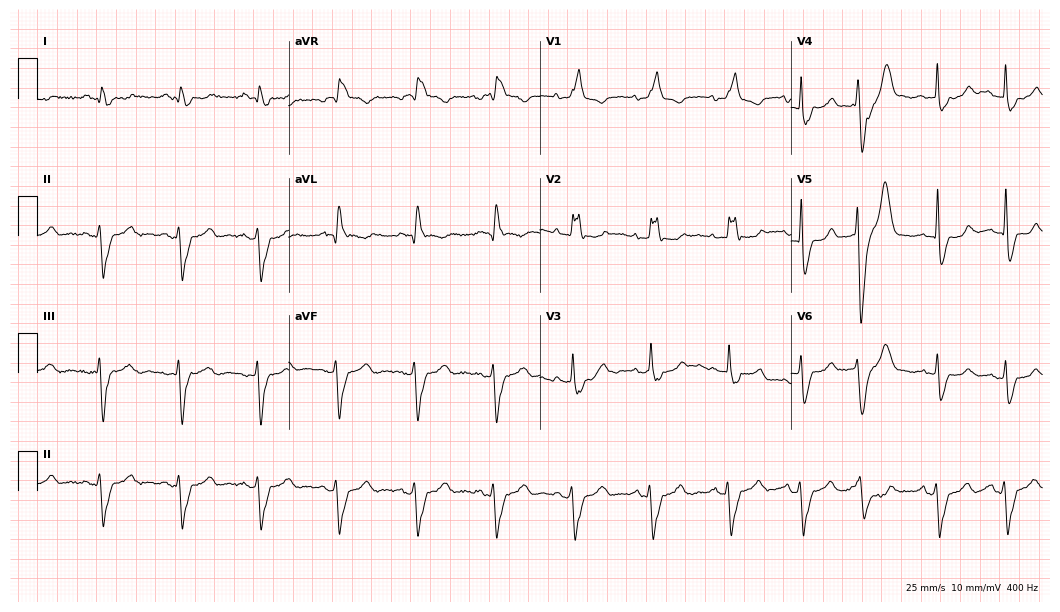
12-lead ECG (10.2-second recording at 400 Hz) from a 62-year-old man. Findings include right bundle branch block.